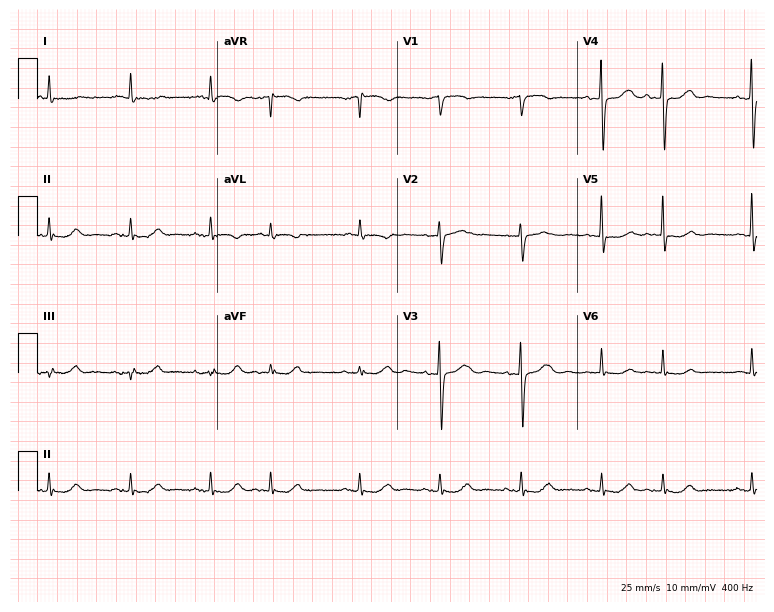
Standard 12-lead ECG recorded from a female, 83 years old (7.3-second recording at 400 Hz). None of these six findings is recorded: first-degree AV block, right bundle branch block, left bundle branch block, sinus bradycardia, atrial fibrillation, sinus tachycardia. Findings outside these six are not listed.